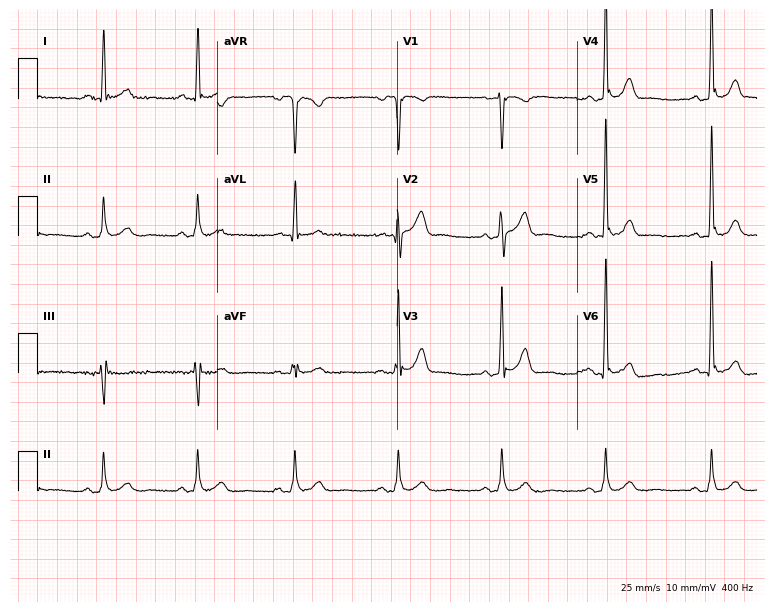
ECG (7.3-second recording at 400 Hz) — a 61-year-old male patient. Labelled as a normal ECG.